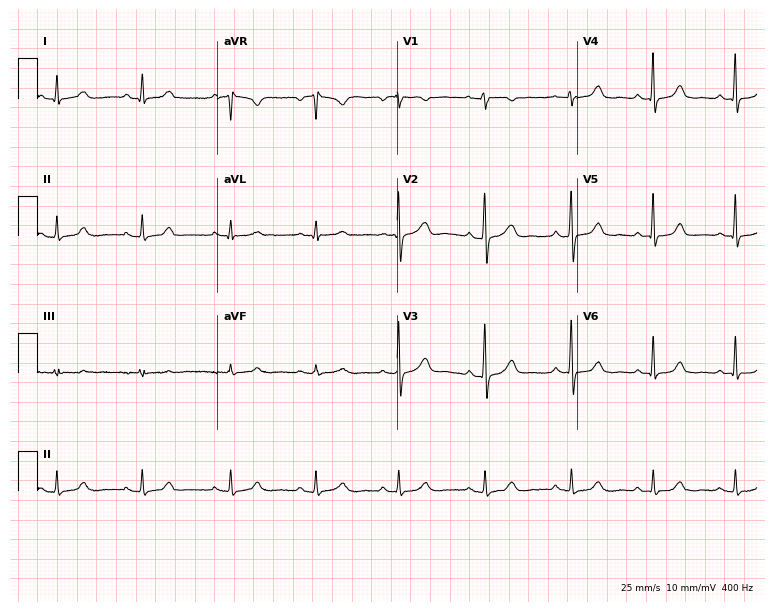
12-lead ECG from a female, 45 years old (7.3-second recording at 400 Hz). Recorded interpretation: within normal limits.